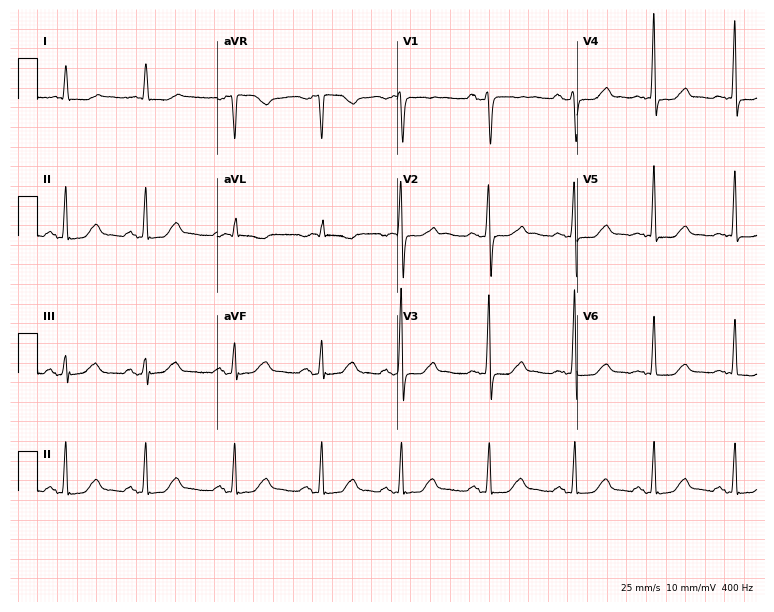
12-lead ECG from a 47-year-old female. Screened for six findings — first-degree AV block, right bundle branch block (RBBB), left bundle branch block (LBBB), sinus bradycardia, atrial fibrillation (AF), sinus tachycardia — none is recorded.